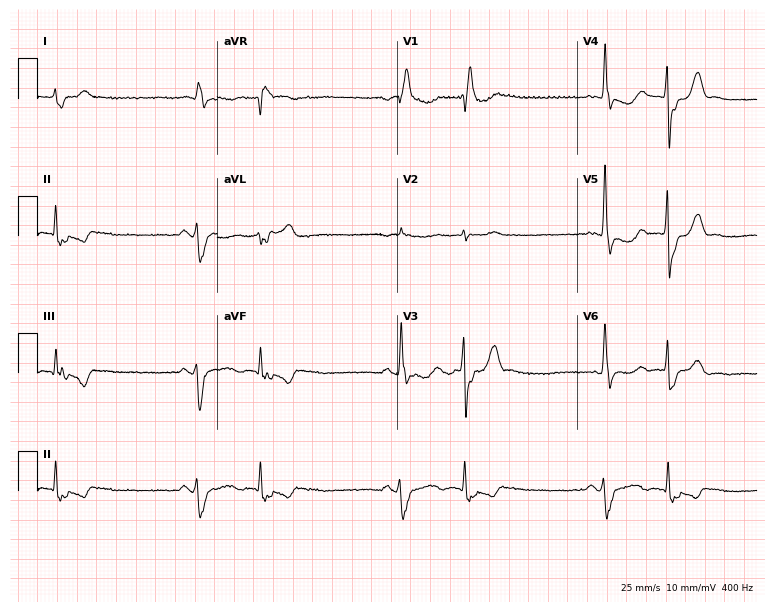
12-lead ECG from a man, 68 years old. Findings include right bundle branch block (RBBB).